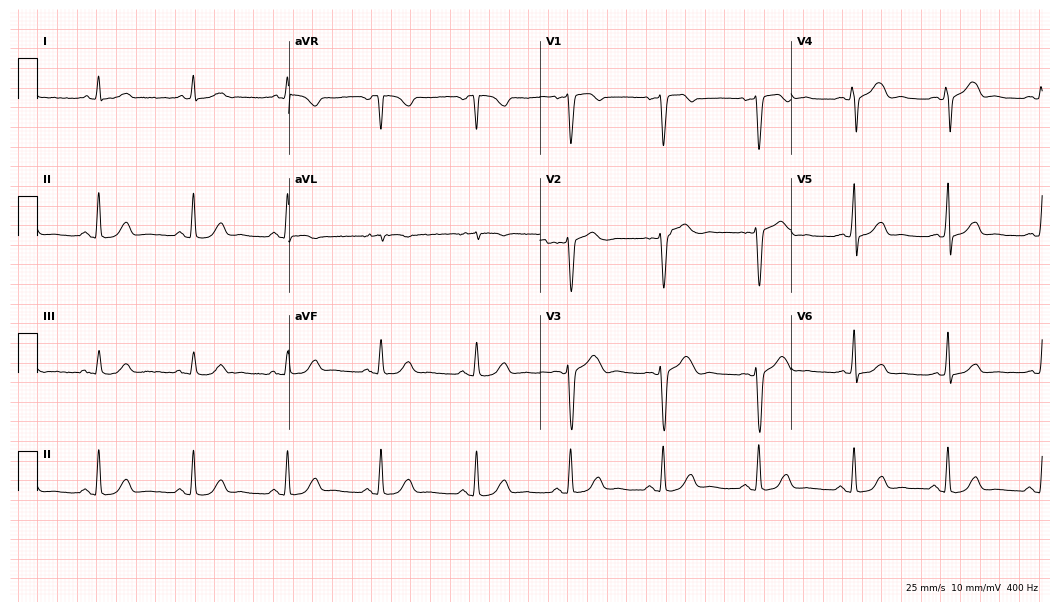
Standard 12-lead ECG recorded from a 46-year-old woman. None of these six findings is recorded: first-degree AV block, right bundle branch block, left bundle branch block, sinus bradycardia, atrial fibrillation, sinus tachycardia. Other findings, if any, are not listed.